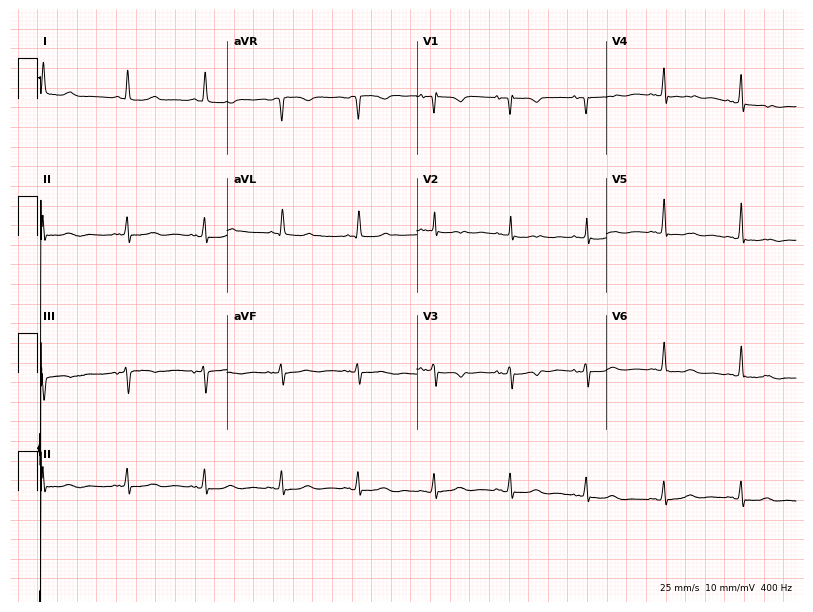
ECG — a female patient, 68 years old. Screened for six findings — first-degree AV block, right bundle branch block (RBBB), left bundle branch block (LBBB), sinus bradycardia, atrial fibrillation (AF), sinus tachycardia — none is recorded. Only these six findings were labelled.